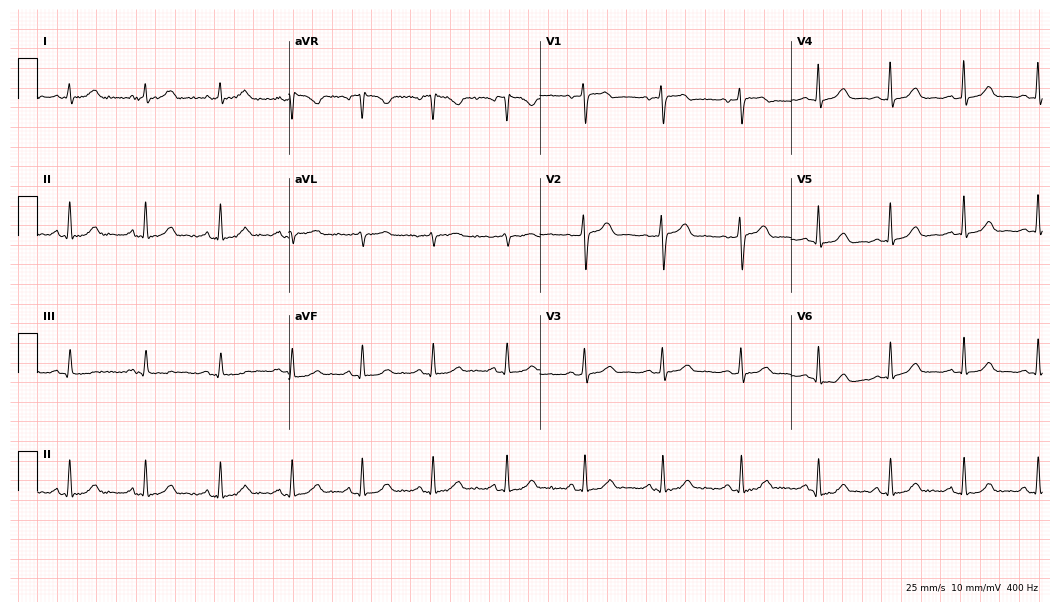
Standard 12-lead ECG recorded from a 50-year-old female. Read as a normal ECG.